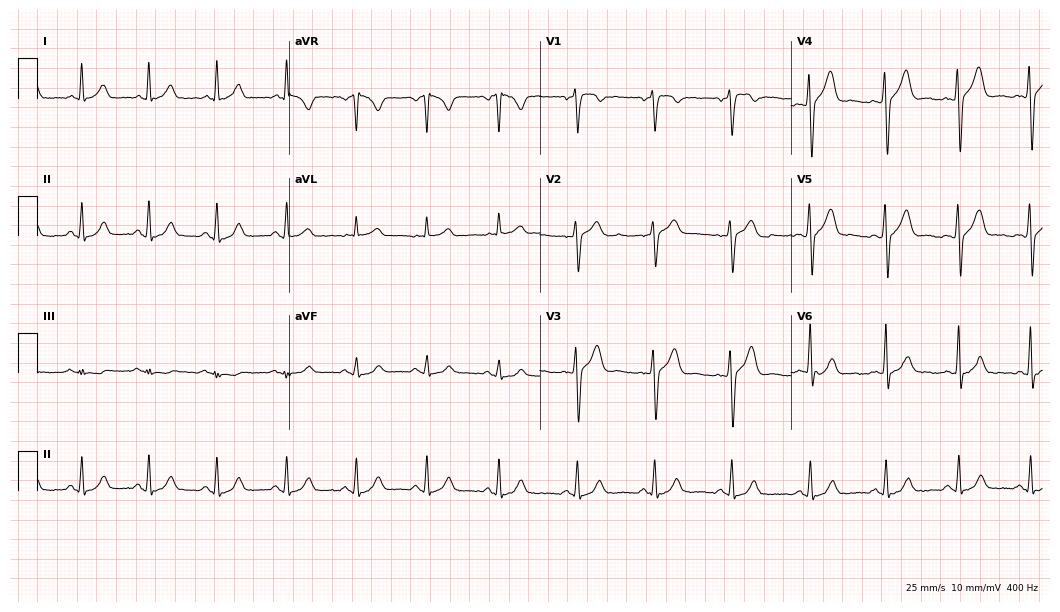
ECG — a 44-year-old male. Labelled as a normal ECG.